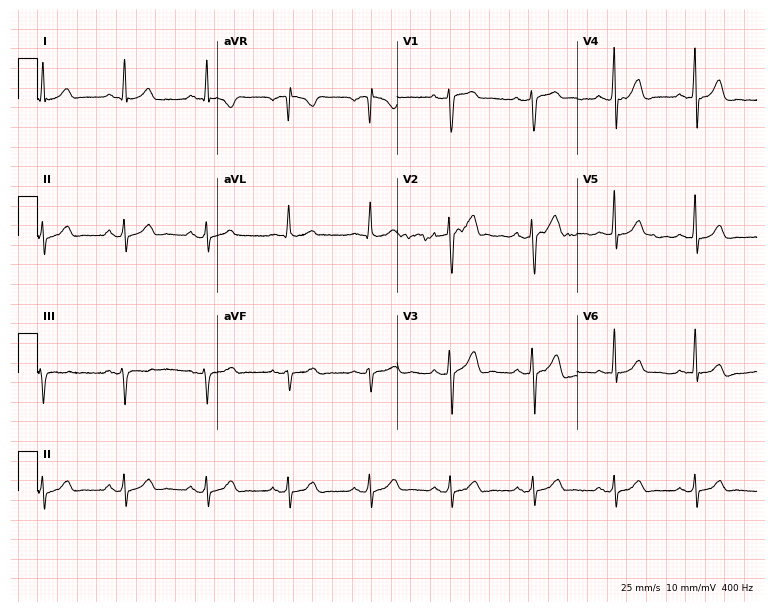
12-lead ECG from a 46-year-old male patient. Screened for six findings — first-degree AV block, right bundle branch block (RBBB), left bundle branch block (LBBB), sinus bradycardia, atrial fibrillation (AF), sinus tachycardia — none is recorded. Only these six findings were labelled.